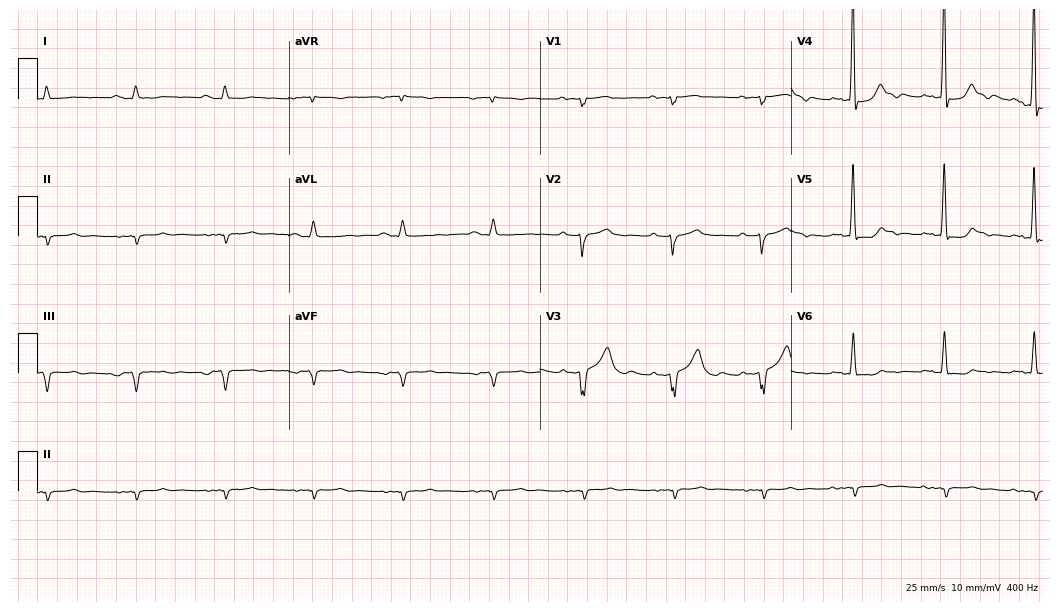
12-lead ECG from a man, 81 years old (10.2-second recording at 400 Hz). No first-degree AV block, right bundle branch block (RBBB), left bundle branch block (LBBB), sinus bradycardia, atrial fibrillation (AF) or sinus tachycardia recorded for this tracing. Only these six findings were labelled.